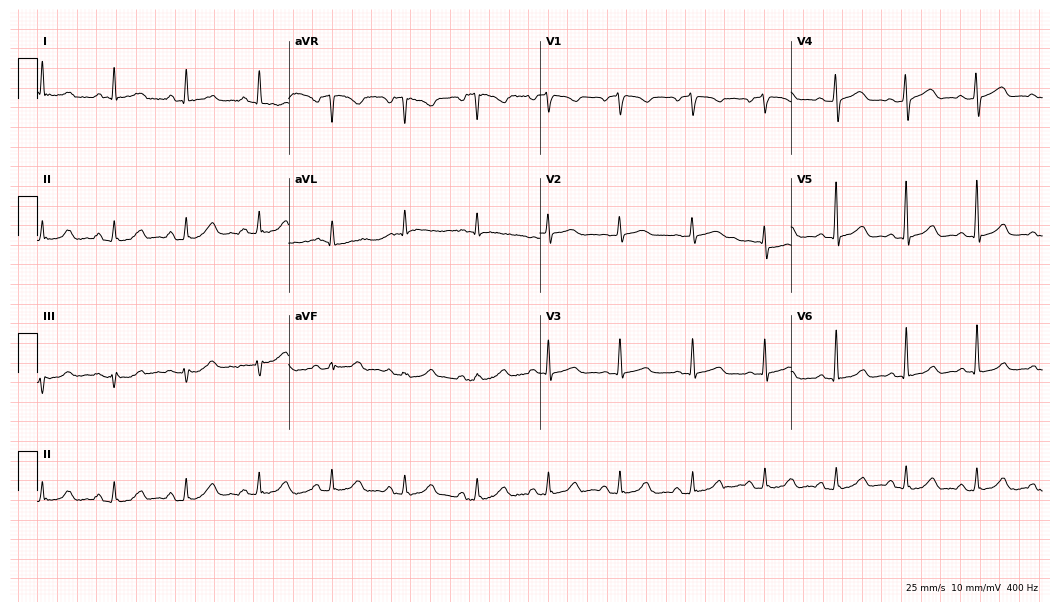
Standard 12-lead ECG recorded from a female, 62 years old (10.2-second recording at 400 Hz). None of these six findings is recorded: first-degree AV block, right bundle branch block, left bundle branch block, sinus bradycardia, atrial fibrillation, sinus tachycardia. Only these six findings were labelled.